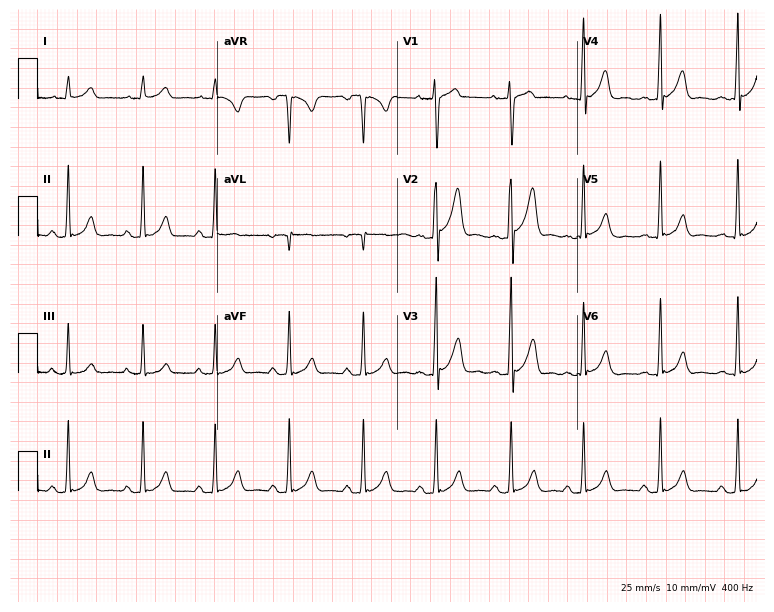
Electrocardiogram (7.3-second recording at 400 Hz), a 20-year-old male. Overall reading on record: normal ECG.